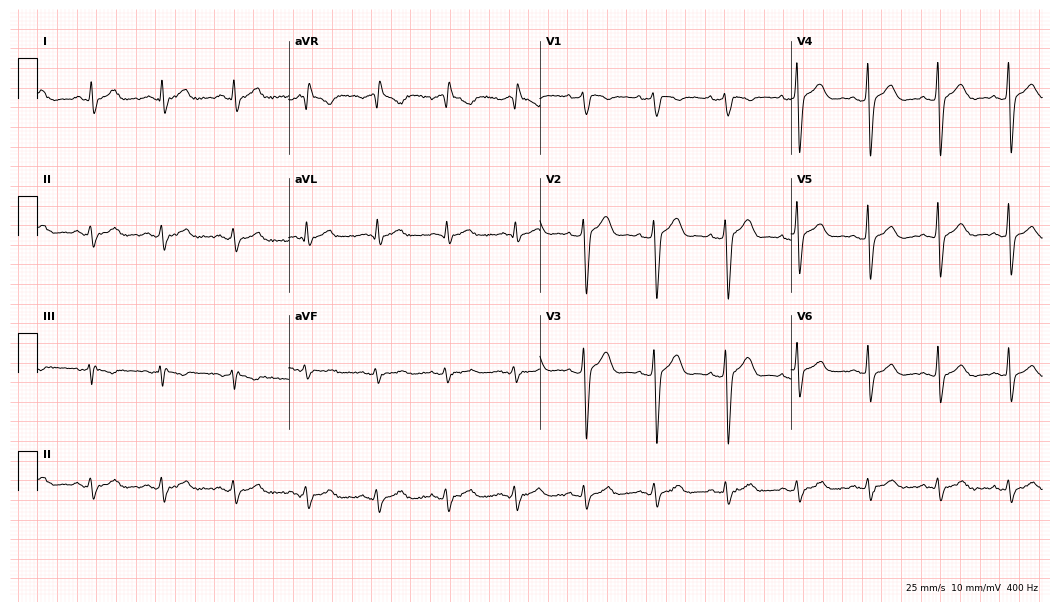
ECG (10.2-second recording at 400 Hz) — a man, 39 years old. Screened for six findings — first-degree AV block, right bundle branch block (RBBB), left bundle branch block (LBBB), sinus bradycardia, atrial fibrillation (AF), sinus tachycardia — none is recorded.